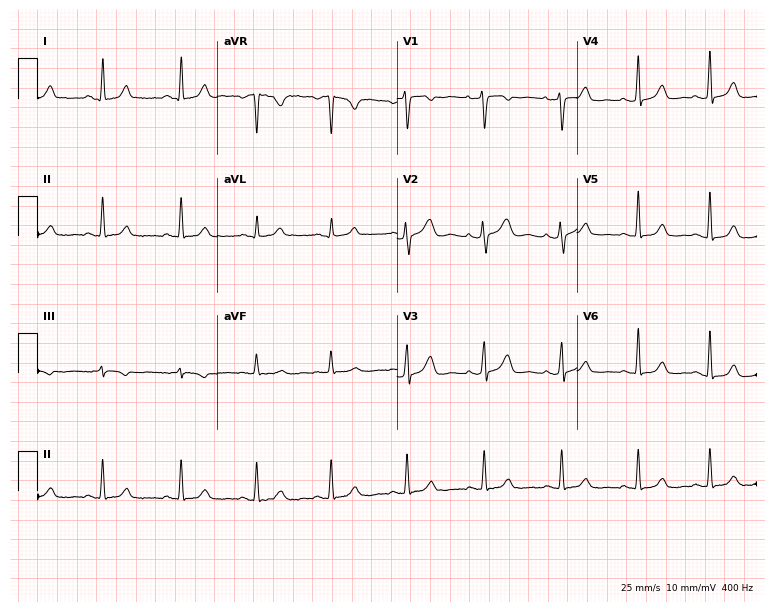
12-lead ECG from a 38-year-old female. No first-degree AV block, right bundle branch block (RBBB), left bundle branch block (LBBB), sinus bradycardia, atrial fibrillation (AF) or sinus tachycardia recorded for this tracing. Findings outside these six are not listed.